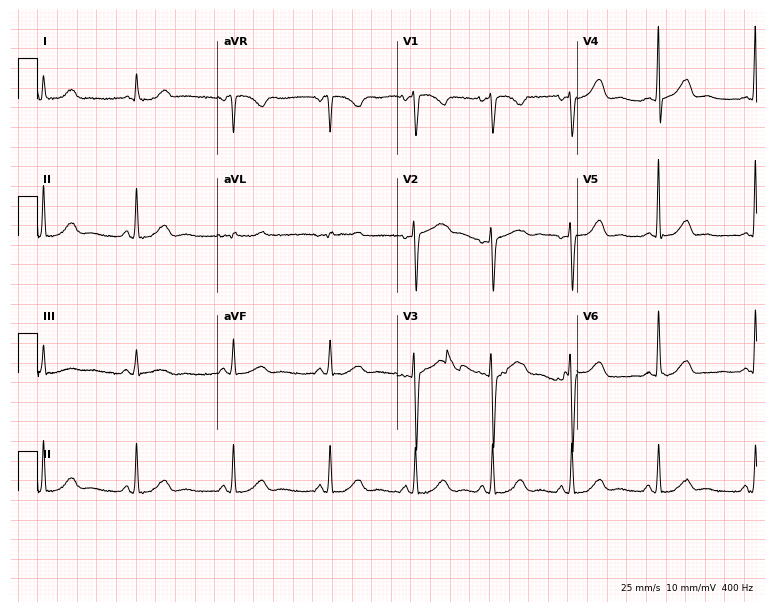
12-lead ECG (7.3-second recording at 400 Hz) from a 50-year-old woman. Labelled as a normal ECG.